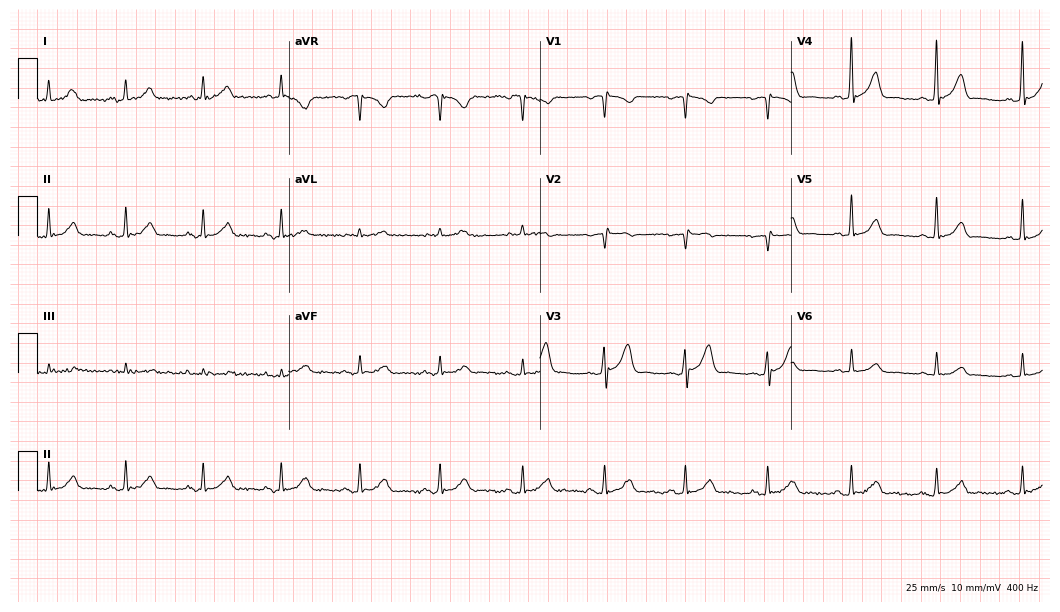
Resting 12-lead electrocardiogram. Patient: a male, 51 years old. Read as a normal ECG.